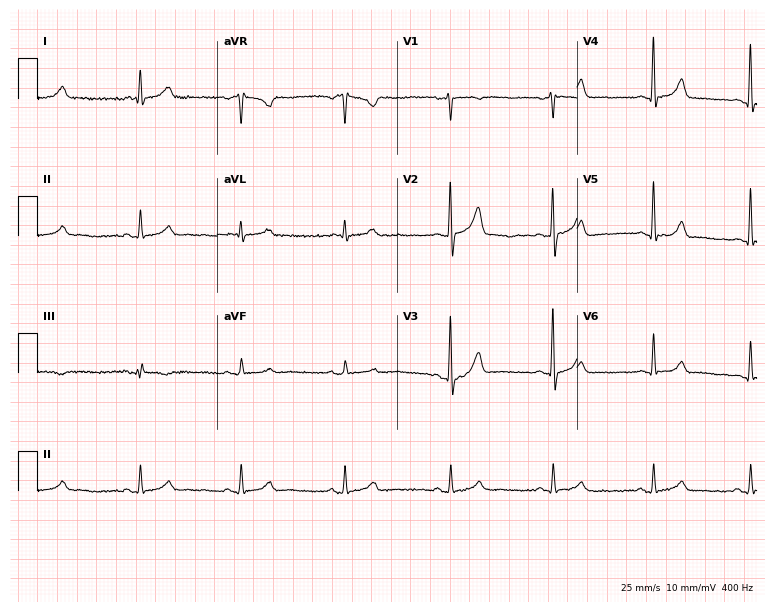
Resting 12-lead electrocardiogram (7.3-second recording at 400 Hz). Patient: a male, 51 years old. Read as a normal ECG.